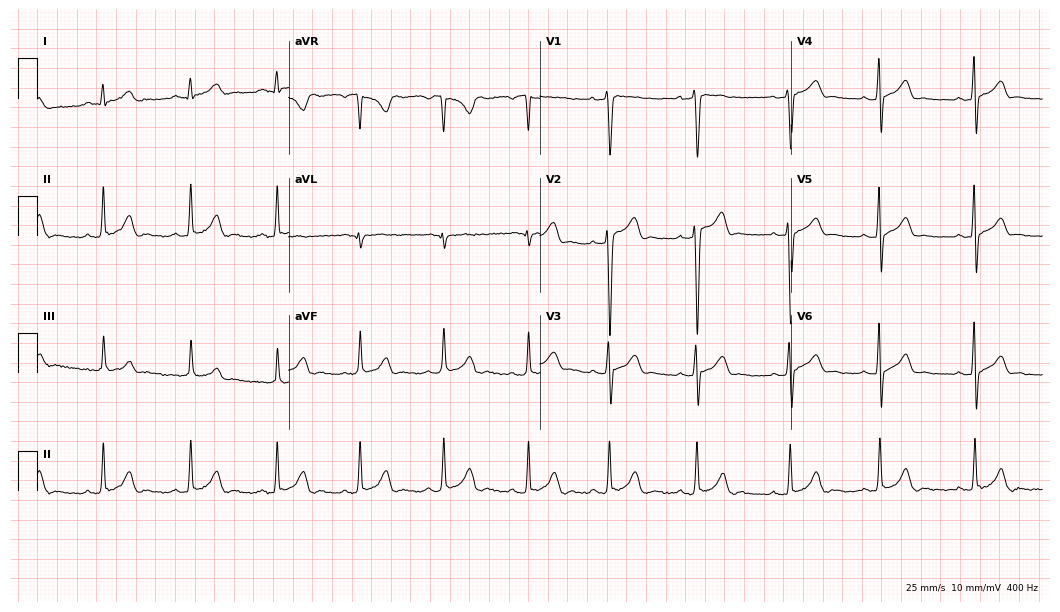
Standard 12-lead ECG recorded from a male, 21 years old (10.2-second recording at 400 Hz). Read as a normal ECG.